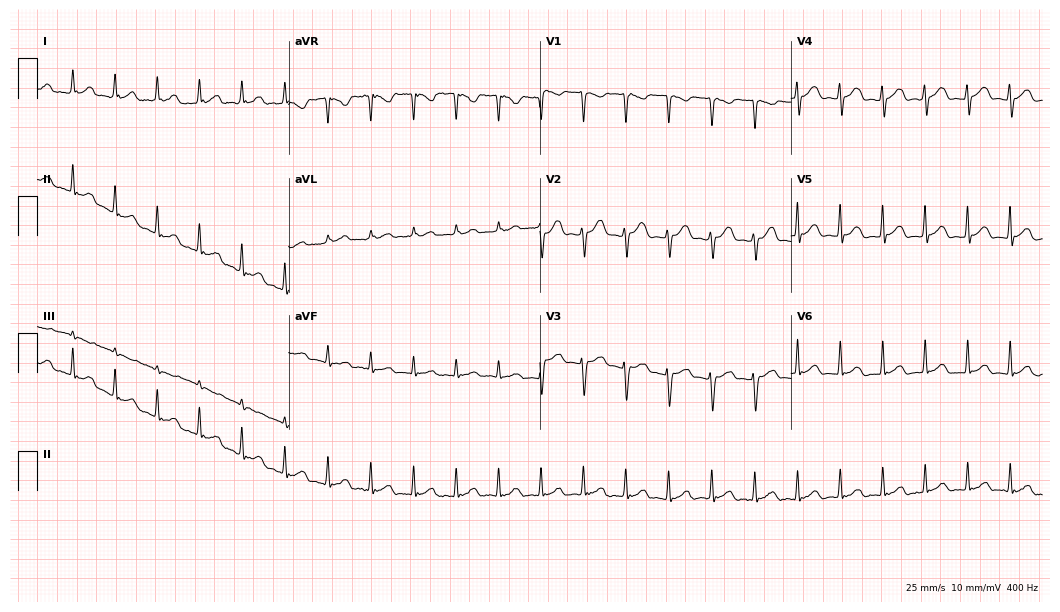
12-lead ECG from a female, 49 years old (10.2-second recording at 400 Hz). Shows sinus tachycardia (a sinus rate of 100 beats per minute or more).